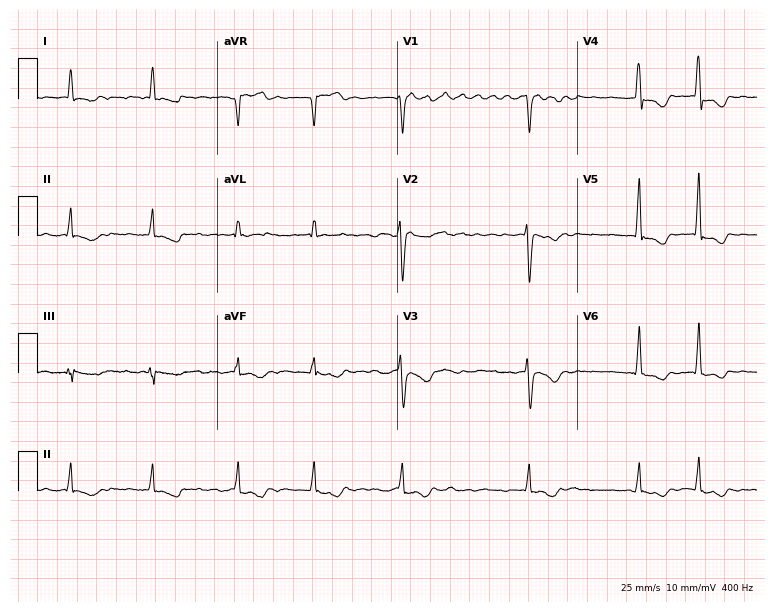
Electrocardiogram, a 41-year-old man. Interpretation includes atrial fibrillation.